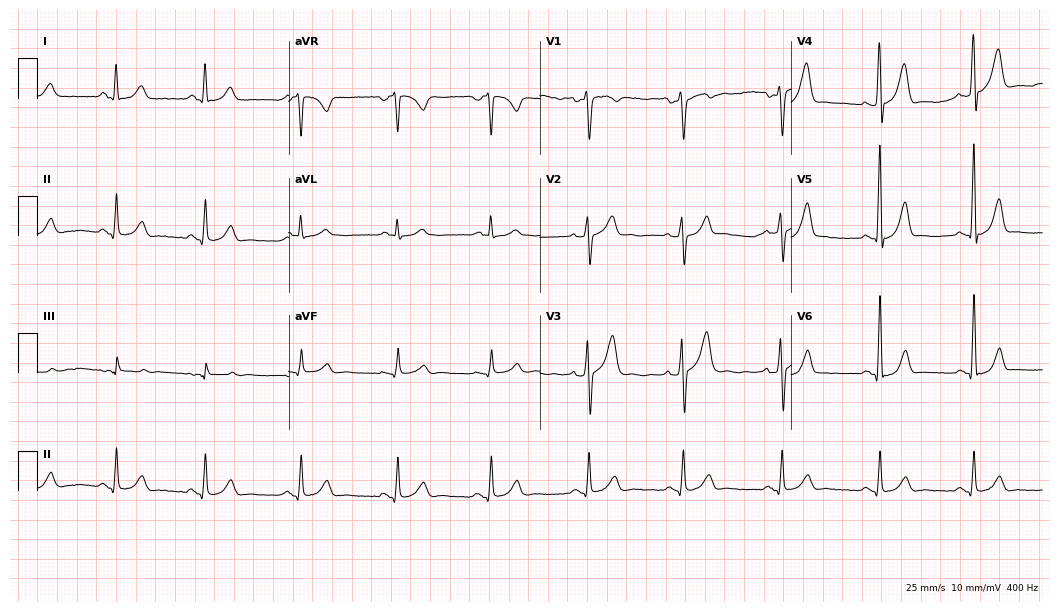
Electrocardiogram, a 33-year-old male. Overall reading on record: normal ECG.